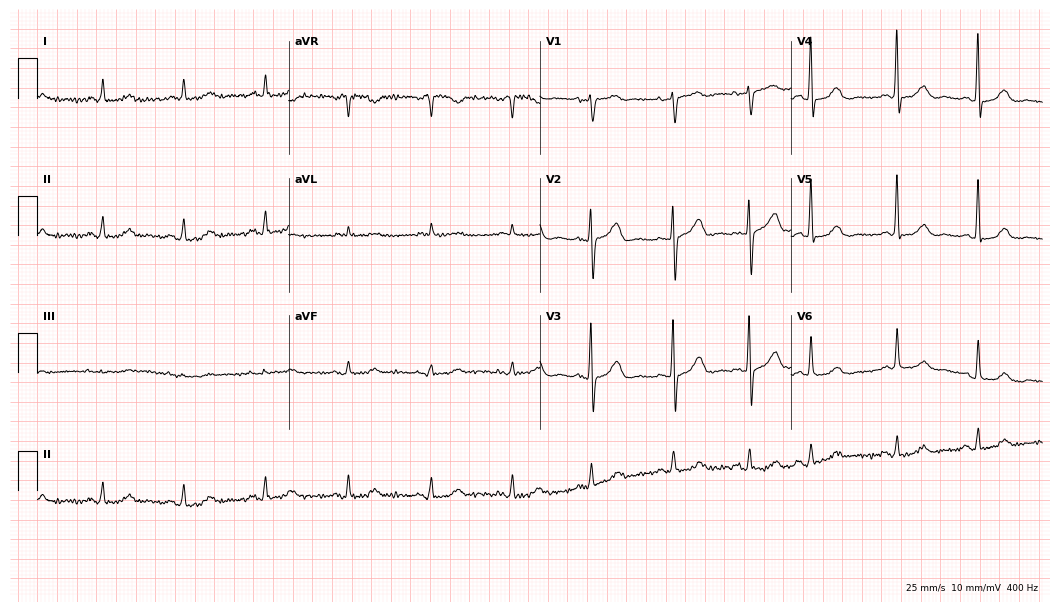
ECG — a female, 77 years old. Screened for six findings — first-degree AV block, right bundle branch block, left bundle branch block, sinus bradycardia, atrial fibrillation, sinus tachycardia — none is recorded.